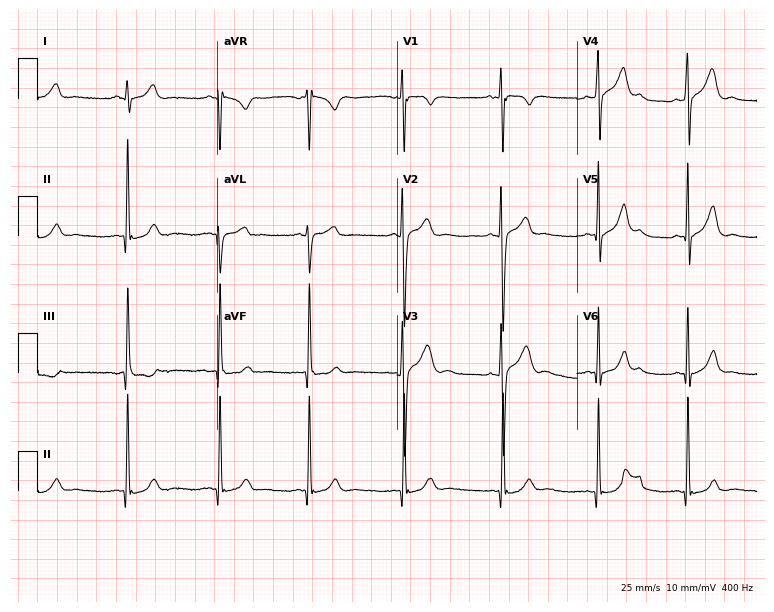
Resting 12-lead electrocardiogram (7.3-second recording at 400 Hz). Patient: a 32-year-old male. None of these six findings is recorded: first-degree AV block, right bundle branch block, left bundle branch block, sinus bradycardia, atrial fibrillation, sinus tachycardia.